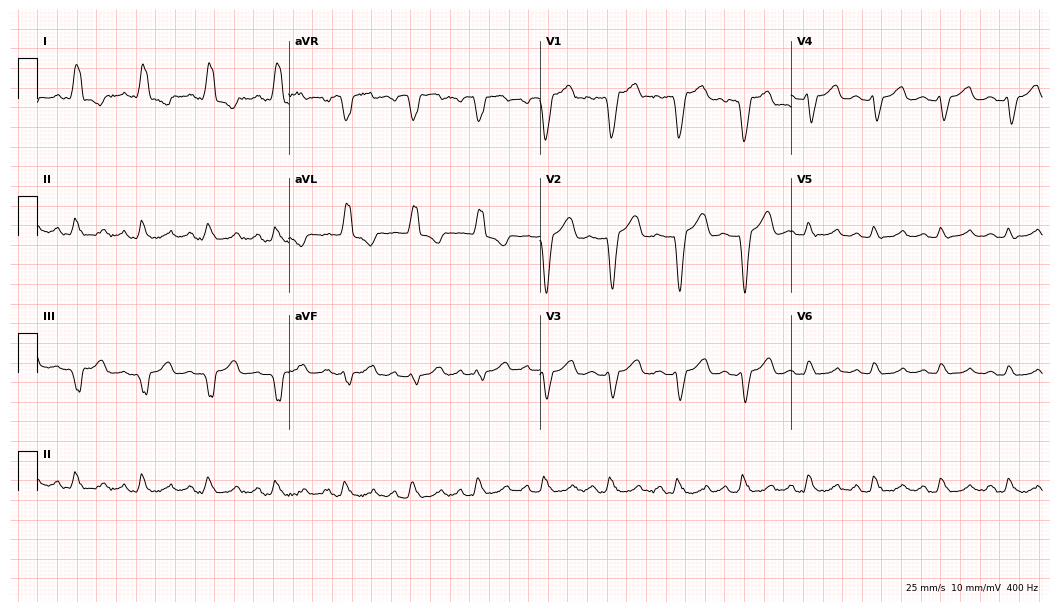
12-lead ECG from a 62-year-old female (10.2-second recording at 400 Hz). Shows left bundle branch block (LBBB).